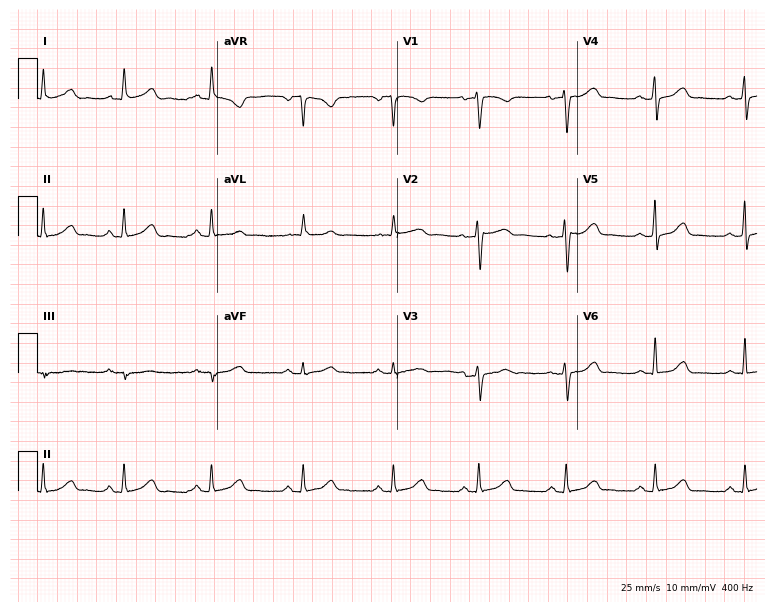
Electrocardiogram, a female patient, 55 years old. Overall reading on record: normal ECG.